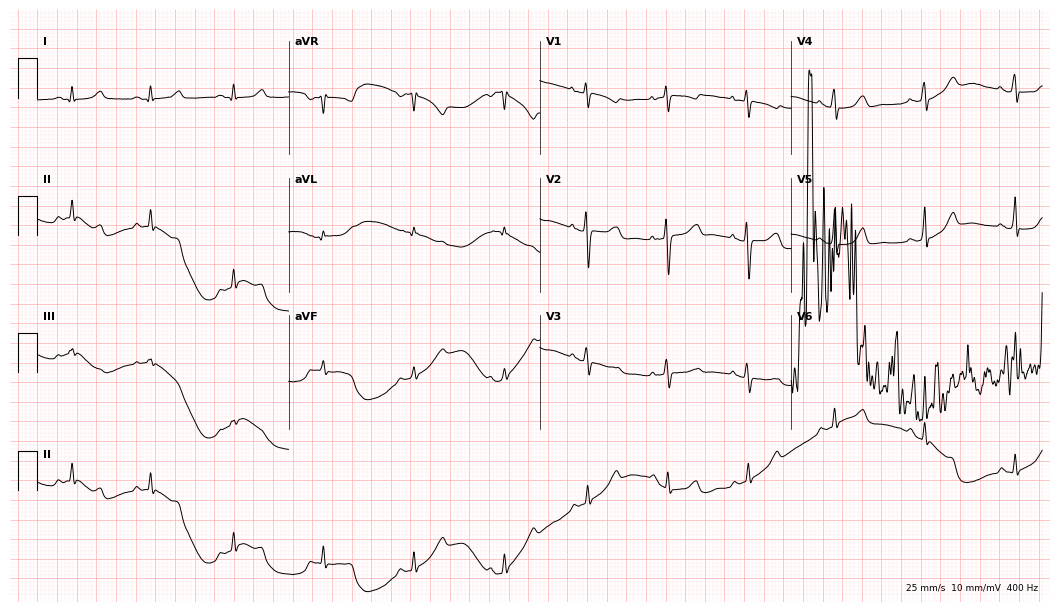
12-lead ECG from a 44-year-old woman. Screened for six findings — first-degree AV block, right bundle branch block (RBBB), left bundle branch block (LBBB), sinus bradycardia, atrial fibrillation (AF), sinus tachycardia — none is recorded.